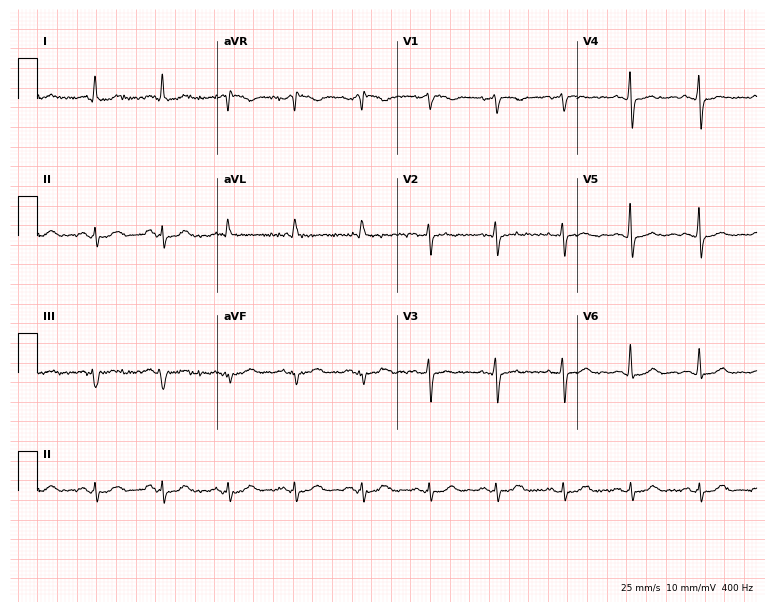
Electrocardiogram, a 71-year-old female patient. Overall reading on record: normal ECG.